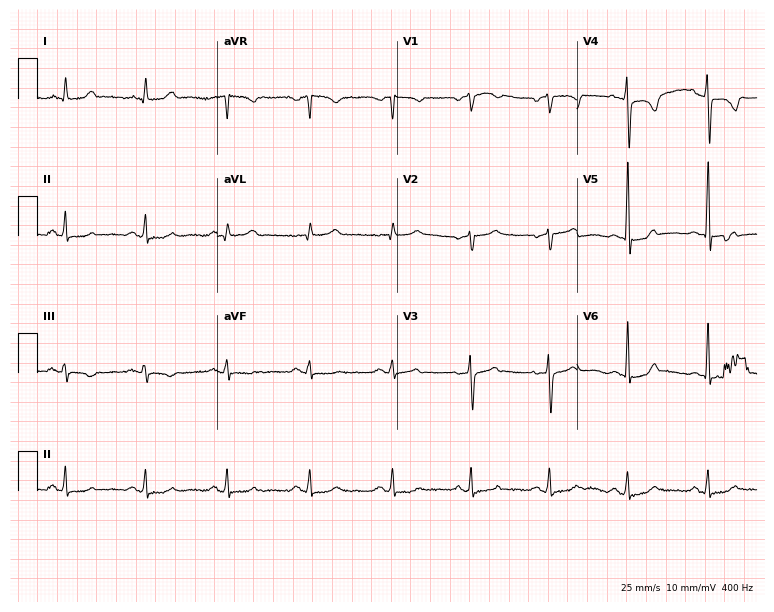
12-lead ECG from a female patient, 61 years old. Screened for six findings — first-degree AV block, right bundle branch block, left bundle branch block, sinus bradycardia, atrial fibrillation, sinus tachycardia — none is recorded. Only these six findings were labelled.